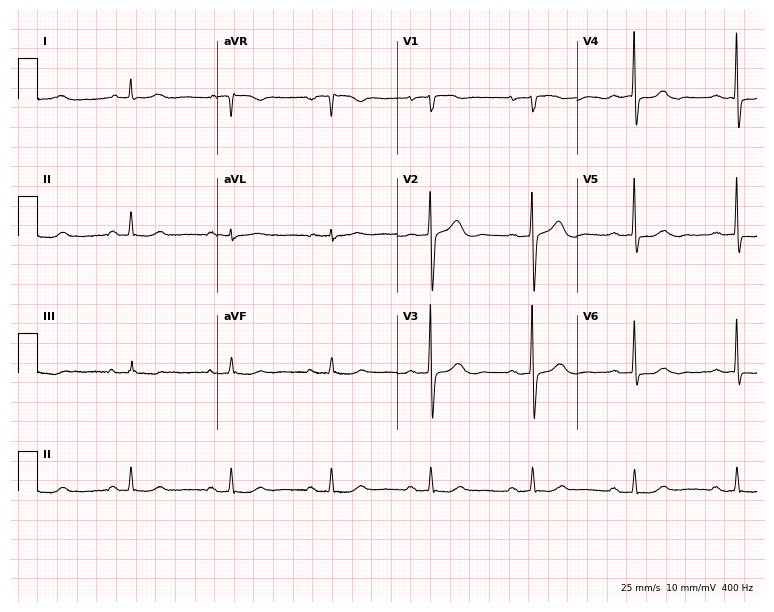
Resting 12-lead electrocardiogram (7.3-second recording at 400 Hz). Patient: a 73-year-old woman. None of these six findings is recorded: first-degree AV block, right bundle branch block (RBBB), left bundle branch block (LBBB), sinus bradycardia, atrial fibrillation (AF), sinus tachycardia.